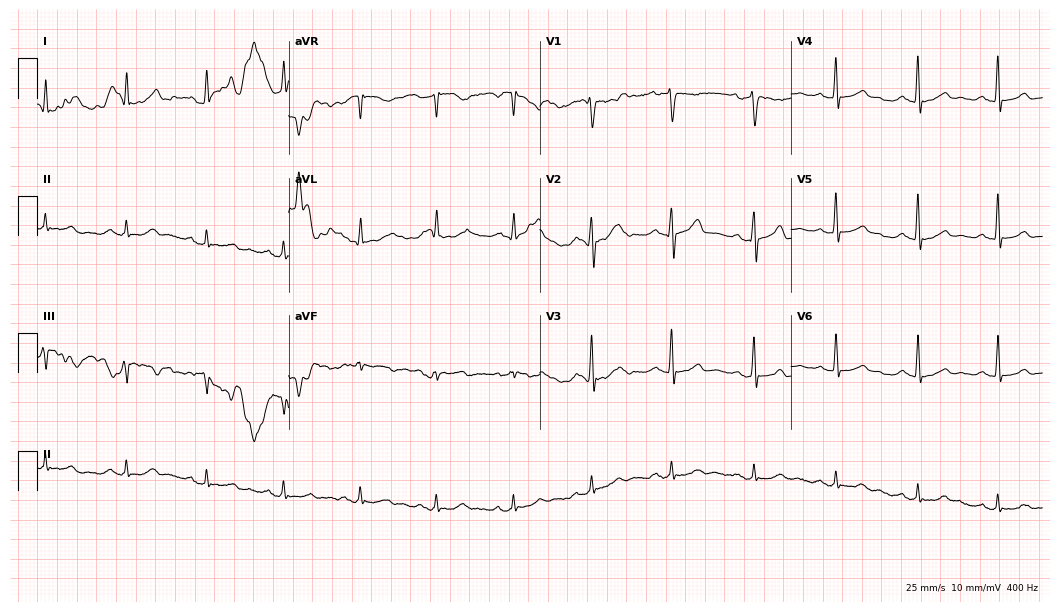
12-lead ECG from a male patient, 46 years old. No first-degree AV block, right bundle branch block (RBBB), left bundle branch block (LBBB), sinus bradycardia, atrial fibrillation (AF) or sinus tachycardia recorded for this tracing.